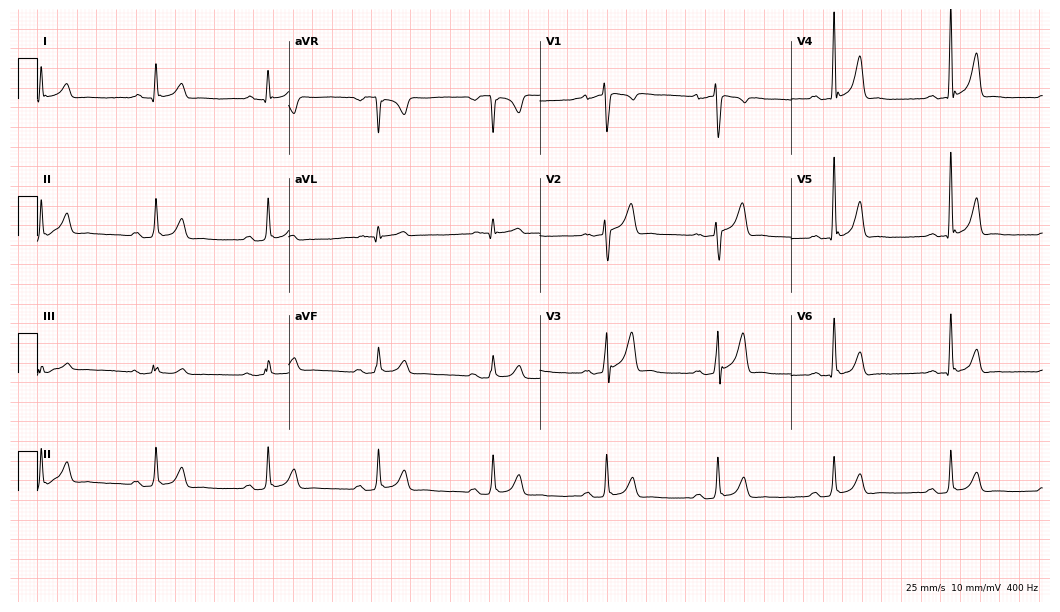
Resting 12-lead electrocardiogram (10.2-second recording at 400 Hz). Patient: a 33-year-old male. None of these six findings is recorded: first-degree AV block, right bundle branch block, left bundle branch block, sinus bradycardia, atrial fibrillation, sinus tachycardia. Other findings, if any, are not listed.